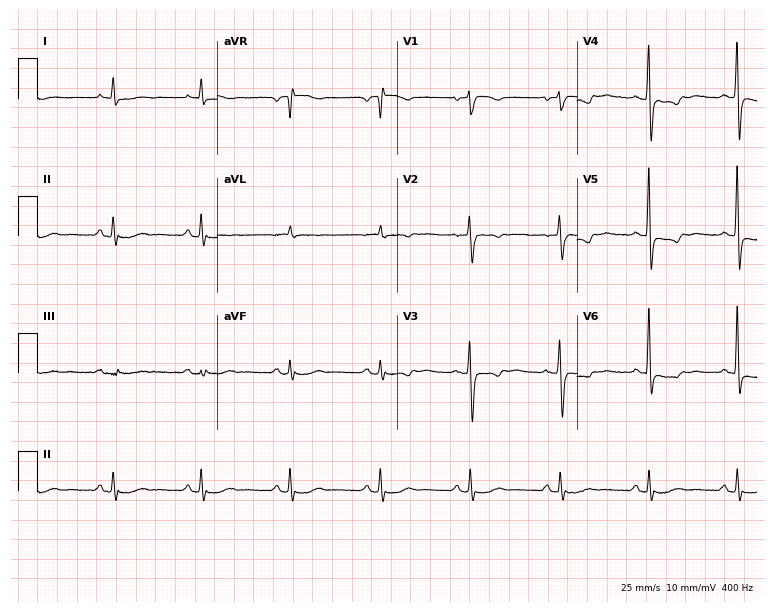
12-lead ECG from a 65-year-old female patient. No first-degree AV block, right bundle branch block (RBBB), left bundle branch block (LBBB), sinus bradycardia, atrial fibrillation (AF) or sinus tachycardia recorded for this tracing.